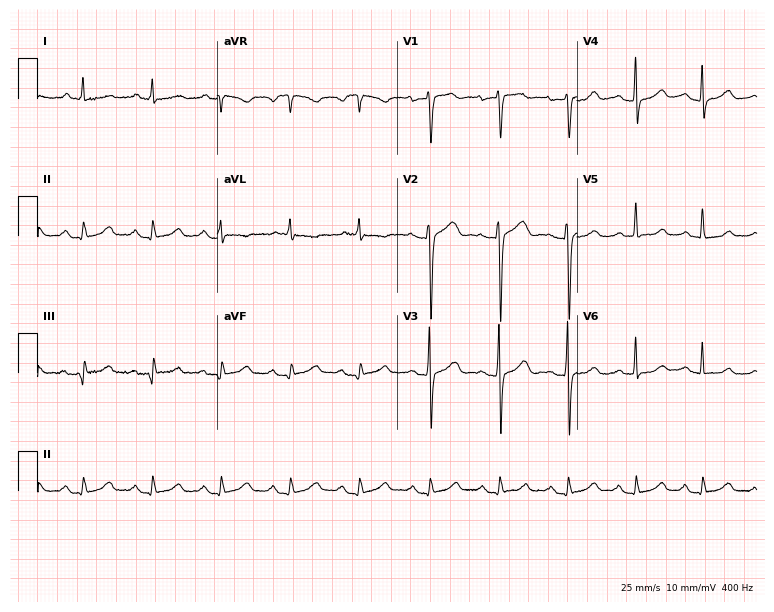
Electrocardiogram, a female, 65 years old. Of the six screened findings (first-degree AV block, right bundle branch block (RBBB), left bundle branch block (LBBB), sinus bradycardia, atrial fibrillation (AF), sinus tachycardia), none is recorded. Only these six findings were labelled.